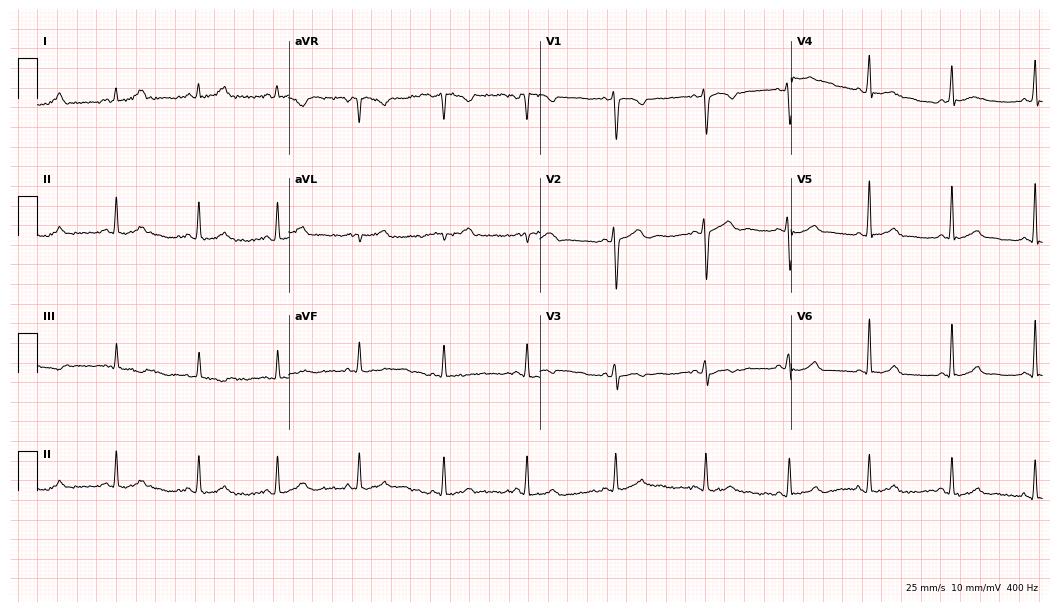
Resting 12-lead electrocardiogram. Patient: a 34-year-old female. Read as a normal ECG.